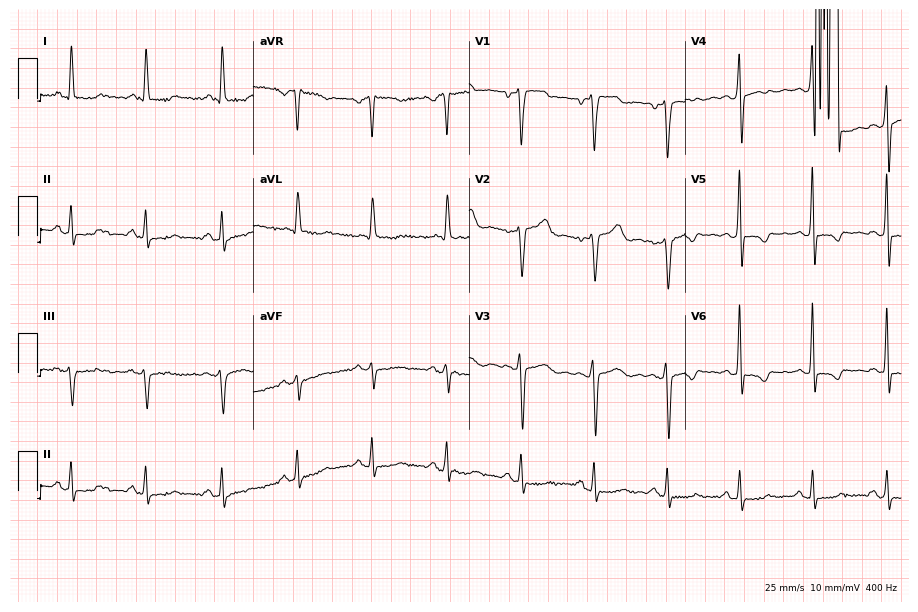
Standard 12-lead ECG recorded from a 46-year-old man (8.8-second recording at 400 Hz). None of these six findings is recorded: first-degree AV block, right bundle branch block, left bundle branch block, sinus bradycardia, atrial fibrillation, sinus tachycardia. Findings outside these six are not listed.